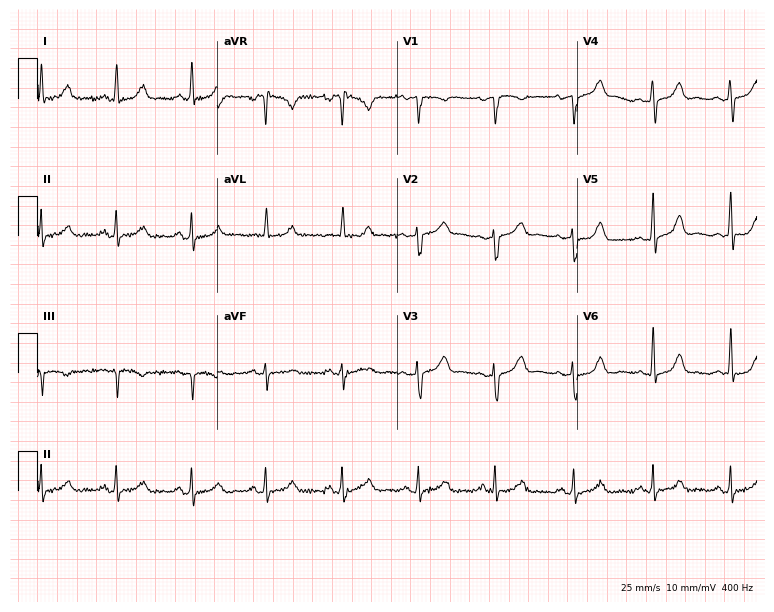
ECG (7.3-second recording at 400 Hz) — a female patient, 46 years old. Labelled as a normal ECG.